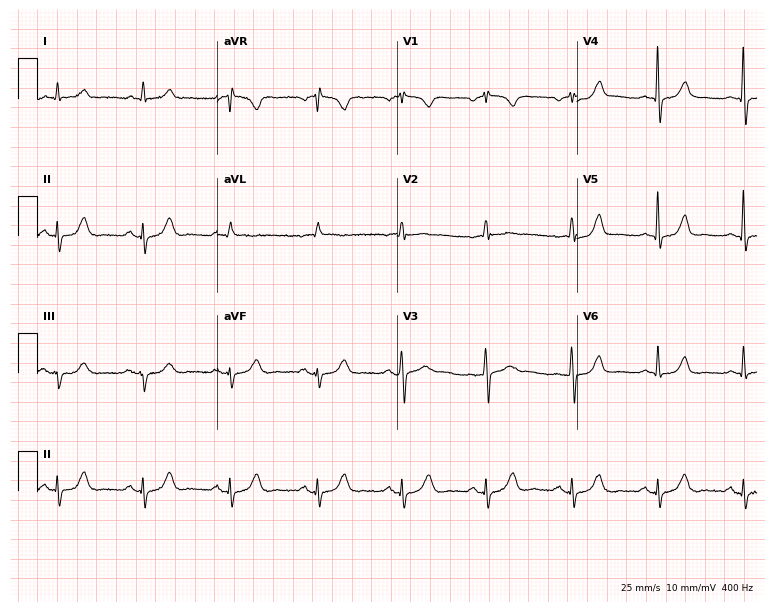
ECG — a male patient, 70 years old. Screened for six findings — first-degree AV block, right bundle branch block, left bundle branch block, sinus bradycardia, atrial fibrillation, sinus tachycardia — none is recorded. Findings outside these six are not listed.